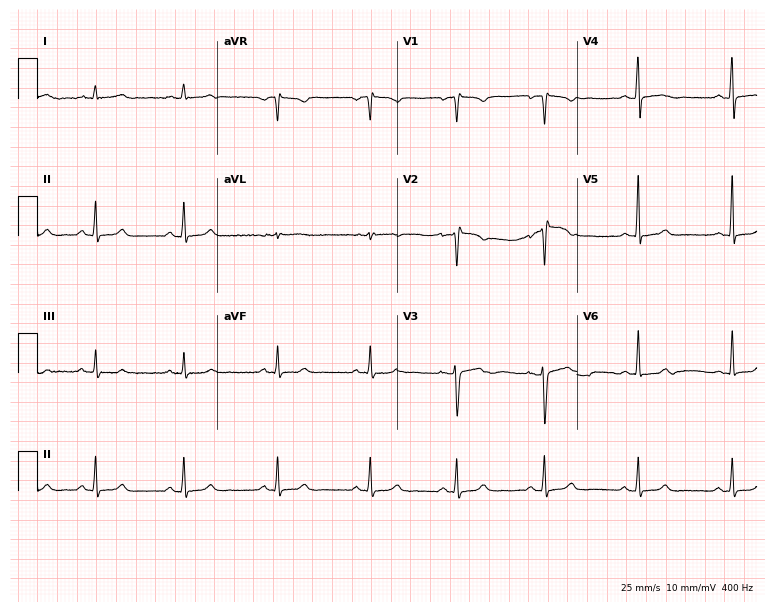
12-lead ECG (7.3-second recording at 400 Hz) from a woman, 38 years old. Labelled as a normal ECG.